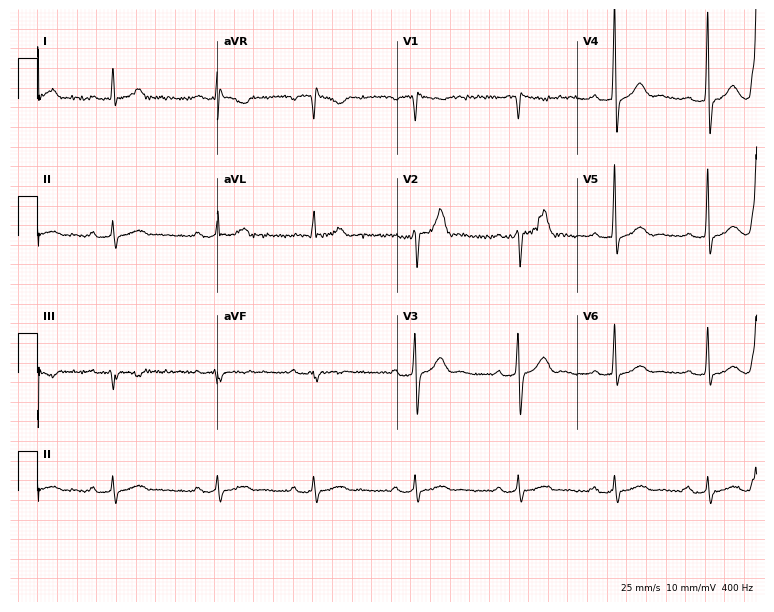
ECG — a 64-year-old man. Screened for six findings — first-degree AV block, right bundle branch block, left bundle branch block, sinus bradycardia, atrial fibrillation, sinus tachycardia — none is recorded. Other findings, if any, are not listed.